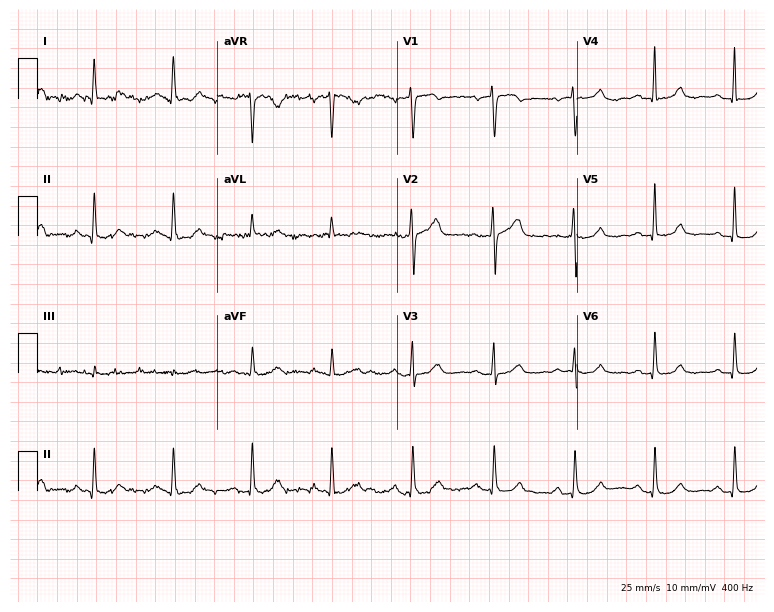
ECG (7.3-second recording at 400 Hz) — a female patient, 78 years old. Labelled as a normal ECG.